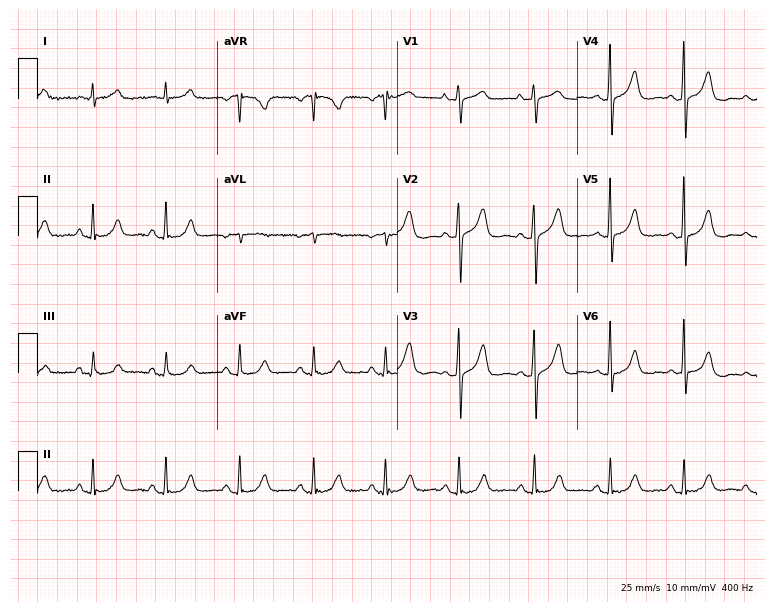
Standard 12-lead ECG recorded from a 68-year-old female patient. Read as a normal ECG.